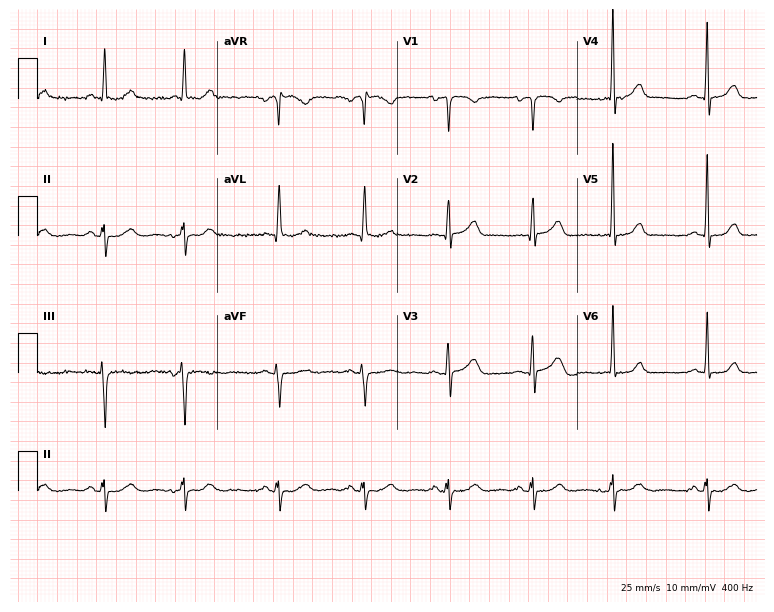
Resting 12-lead electrocardiogram. Patient: a female, 77 years old. None of these six findings is recorded: first-degree AV block, right bundle branch block, left bundle branch block, sinus bradycardia, atrial fibrillation, sinus tachycardia.